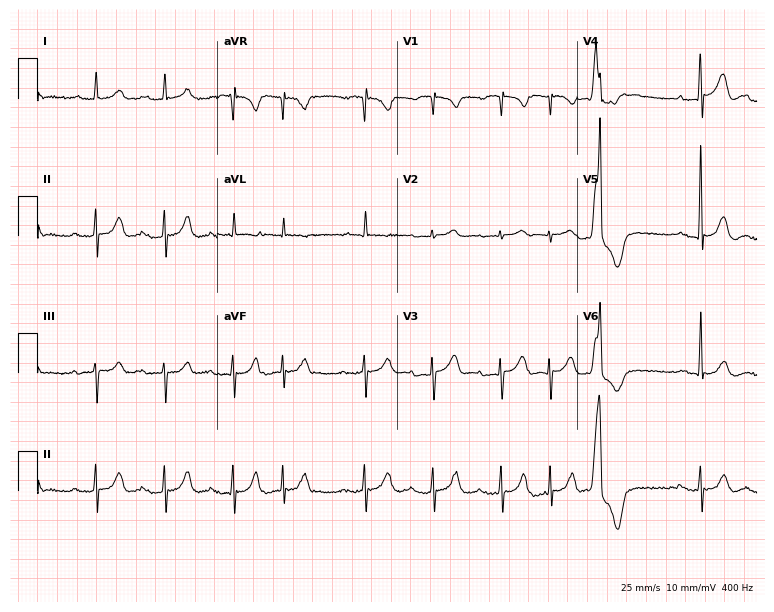
Resting 12-lead electrocardiogram (7.3-second recording at 400 Hz). Patient: a 79-year-old male. The tracing shows first-degree AV block.